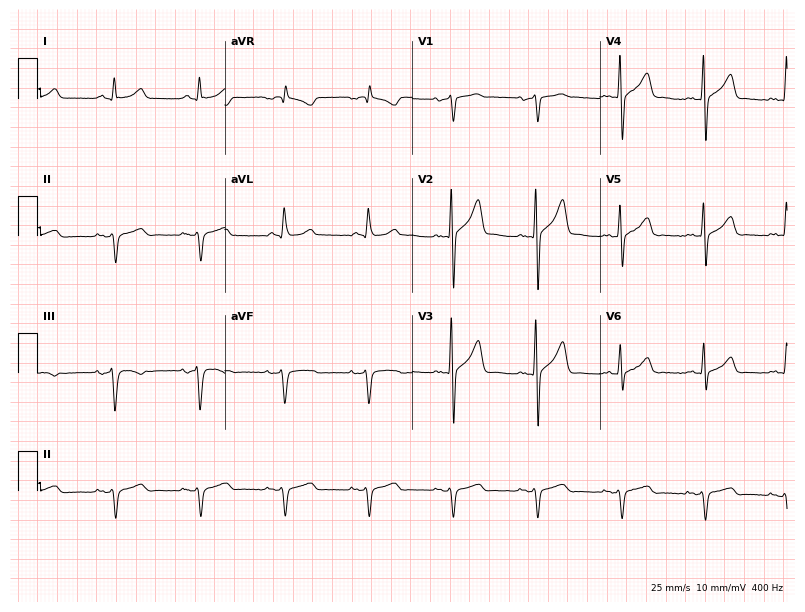
12-lead ECG from a male, 49 years old. No first-degree AV block, right bundle branch block (RBBB), left bundle branch block (LBBB), sinus bradycardia, atrial fibrillation (AF) or sinus tachycardia recorded for this tracing. Only these six findings were labelled.